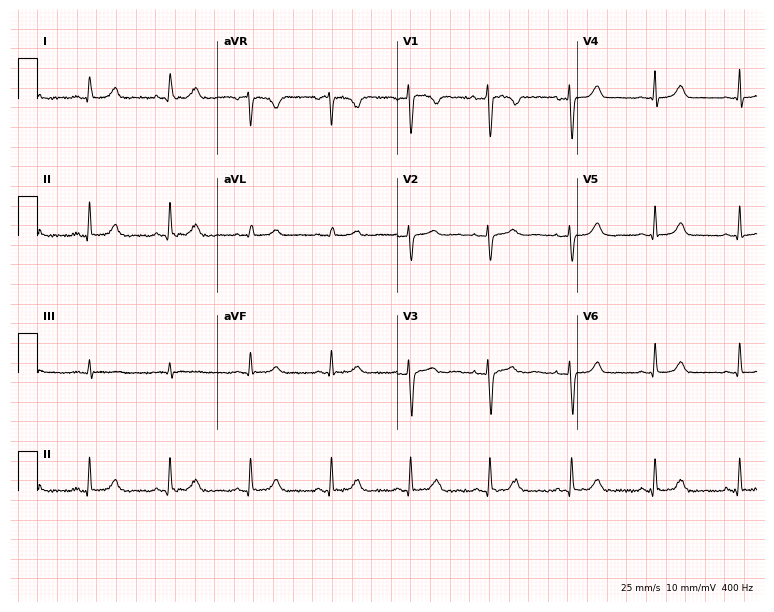
ECG — a woman, 30 years old. Screened for six findings — first-degree AV block, right bundle branch block (RBBB), left bundle branch block (LBBB), sinus bradycardia, atrial fibrillation (AF), sinus tachycardia — none is recorded. Other findings, if any, are not listed.